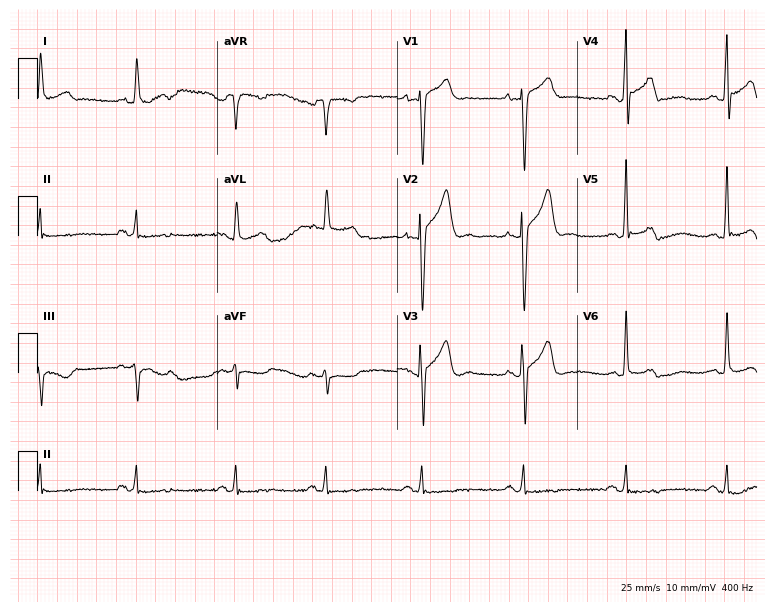
Electrocardiogram, a male, 79 years old. Of the six screened findings (first-degree AV block, right bundle branch block, left bundle branch block, sinus bradycardia, atrial fibrillation, sinus tachycardia), none is recorded. Other findings, if any, are not listed.